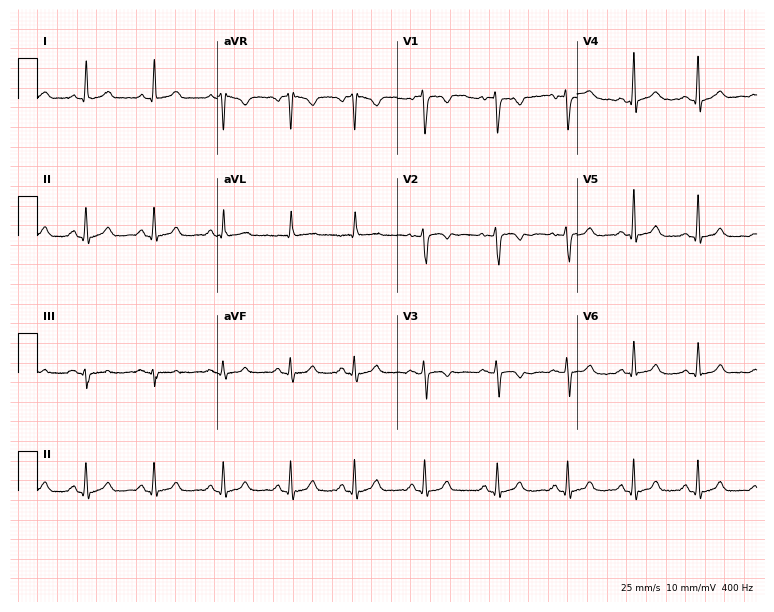
Electrocardiogram (7.3-second recording at 400 Hz), a 37-year-old female. Of the six screened findings (first-degree AV block, right bundle branch block, left bundle branch block, sinus bradycardia, atrial fibrillation, sinus tachycardia), none is recorded. Other findings, if any, are not listed.